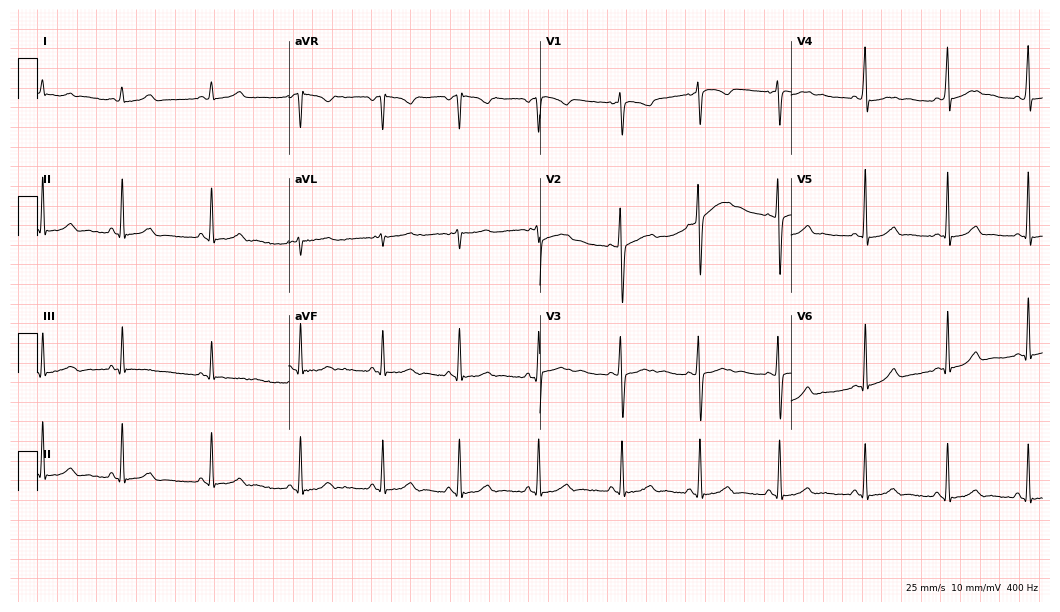
ECG — a female, 18 years old. Labelled as a normal ECG.